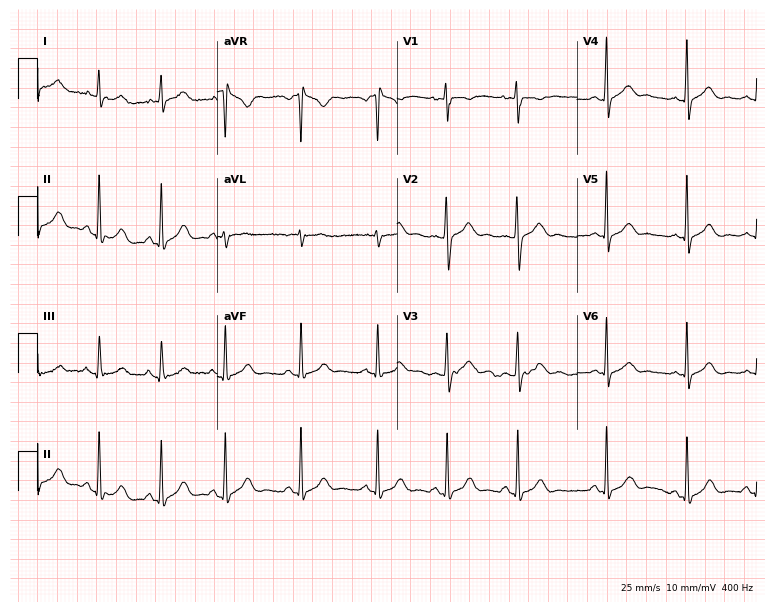
Electrocardiogram, a female, 23 years old. Of the six screened findings (first-degree AV block, right bundle branch block, left bundle branch block, sinus bradycardia, atrial fibrillation, sinus tachycardia), none is recorded.